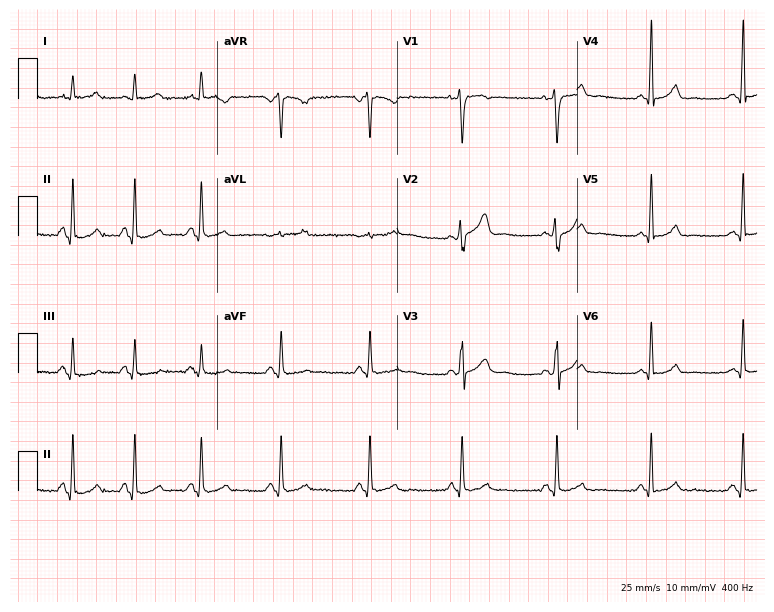
12-lead ECG (7.3-second recording at 400 Hz) from a woman, 38 years old. Labelled as a normal ECG.